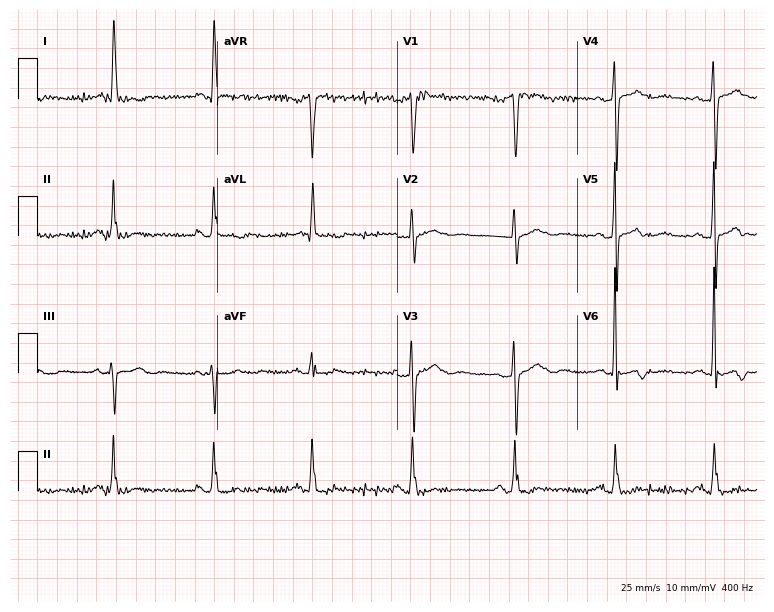
Standard 12-lead ECG recorded from a female, 80 years old. None of these six findings is recorded: first-degree AV block, right bundle branch block, left bundle branch block, sinus bradycardia, atrial fibrillation, sinus tachycardia. Findings outside these six are not listed.